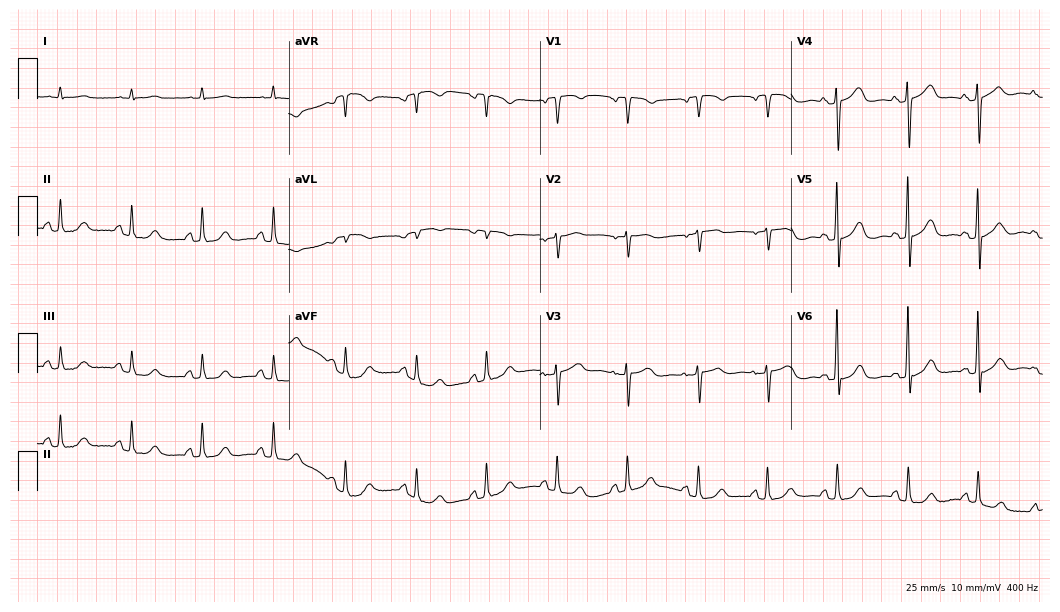
12-lead ECG (10.2-second recording at 400 Hz) from an 82-year-old woman. Labelled as a normal ECG.